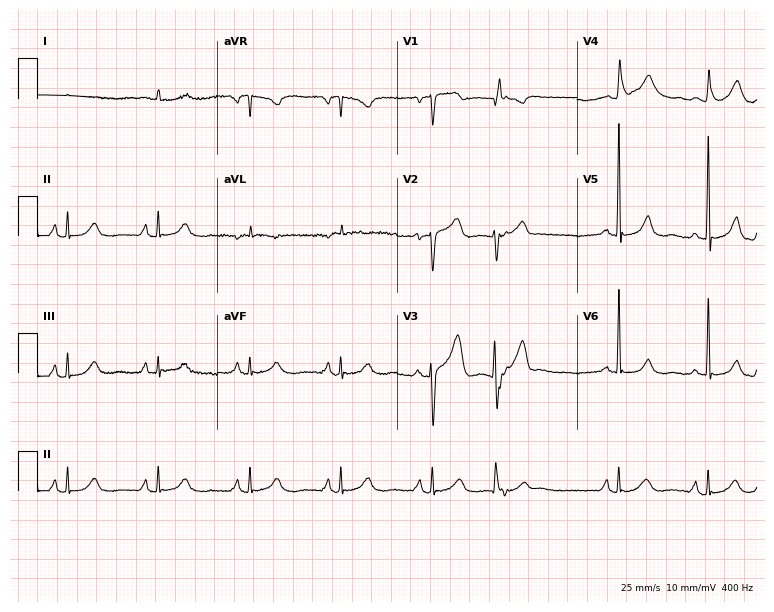
12-lead ECG from a male, 71 years old. Screened for six findings — first-degree AV block, right bundle branch block, left bundle branch block, sinus bradycardia, atrial fibrillation, sinus tachycardia — none is recorded. Findings outside these six are not listed.